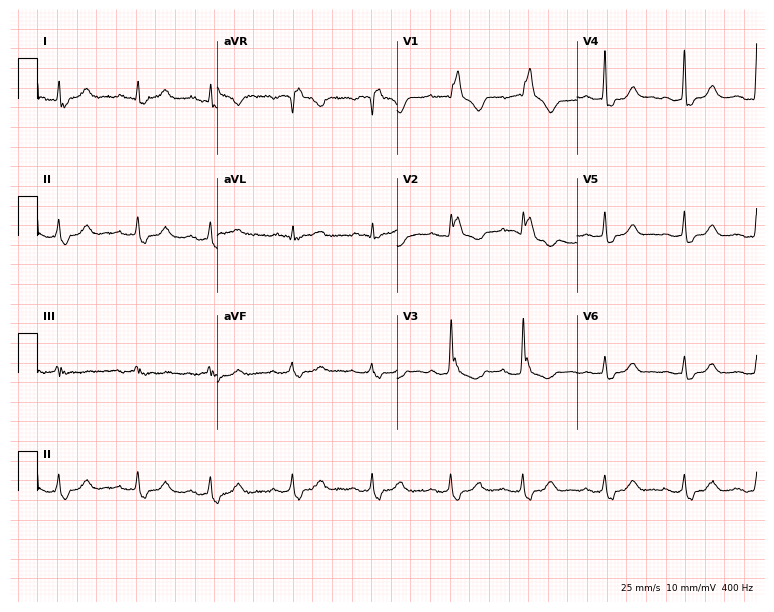
12-lead ECG from a female, 64 years old (7.3-second recording at 400 Hz). Shows right bundle branch block.